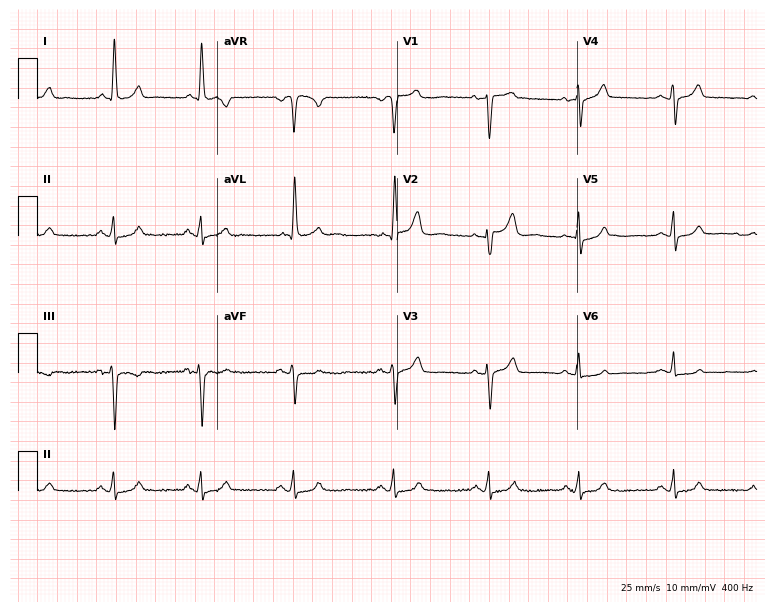
12-lead ECG from a female patient, 79 years old. Recorded interpretation: within normal limits.